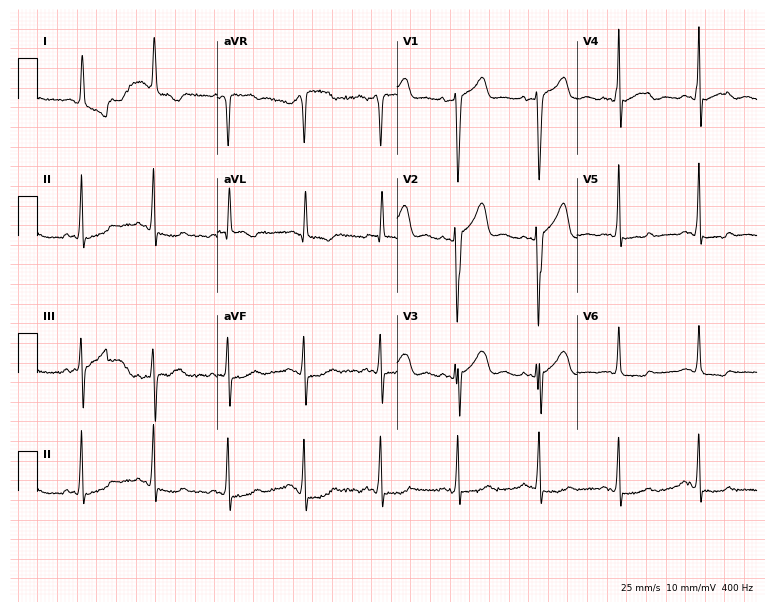
Electrocardiogram, a female, 83 years old. Of the six screened findings (first-degree AV block, right bundle branch block, left bundle branch block, sinus bradycardia, atrial fibrillation, sinus tachycardia), none is recorded. Other findings, if any, are not listed.